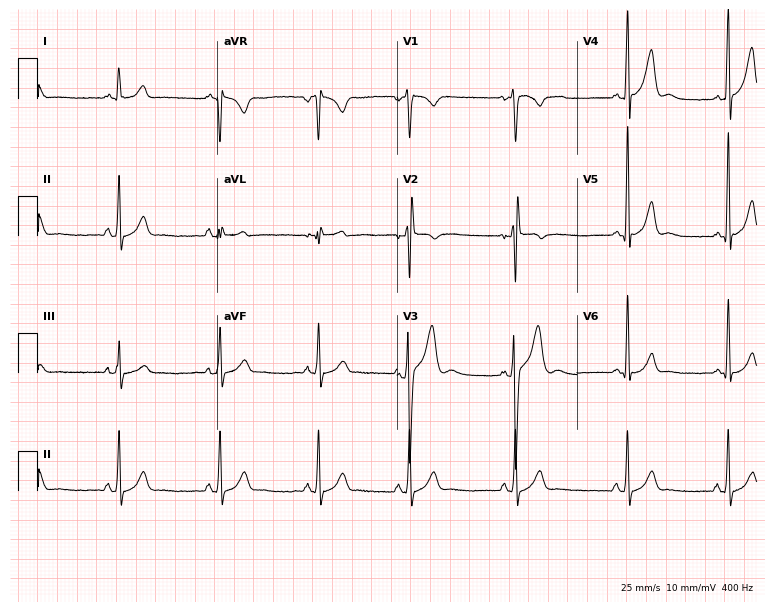
12-lead ECG from a man, 19 years old. No first-degree AV block, right bundle branch block, left bundle branch block, sinus bradycardia, atrial fibrillation or sinus tachycardia recorded for this tracing.